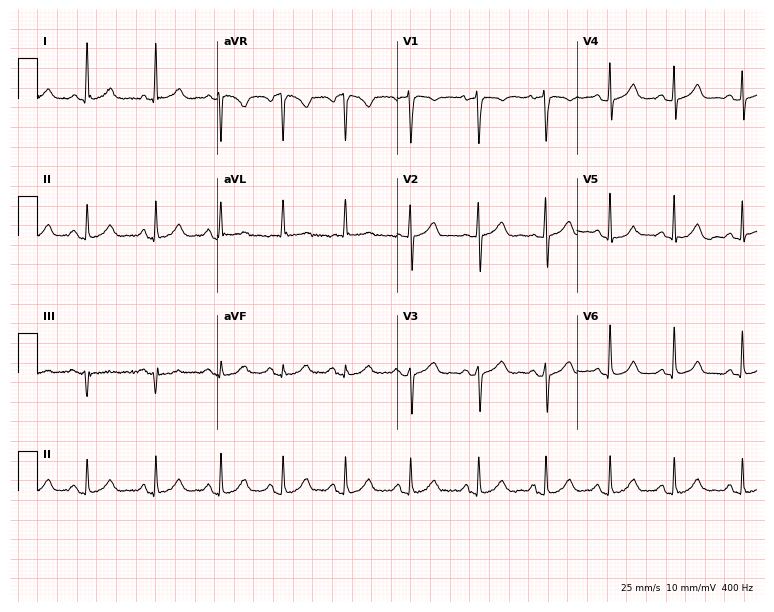
12-lead ECG from a woman, 60 years old. Labelled as a normal ECG.